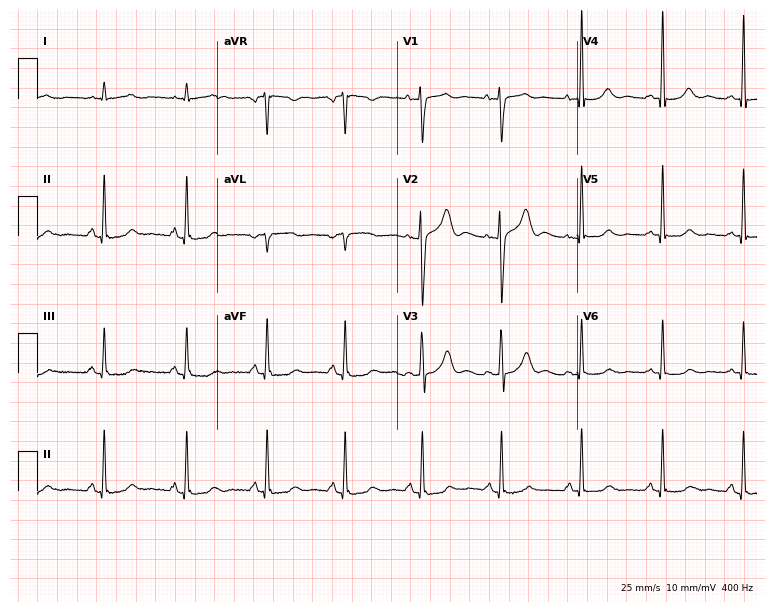
Standard 12-lead ECG recorded from a 51-year-old female. None of these six findings is recorded: first-degree AV block, right bundle branch block (RBBB), left bundle branch block (LBBB), sinus bradycardia, atrial fibrillation (AF), sinus tachycardia. Only these six findings were labelled.